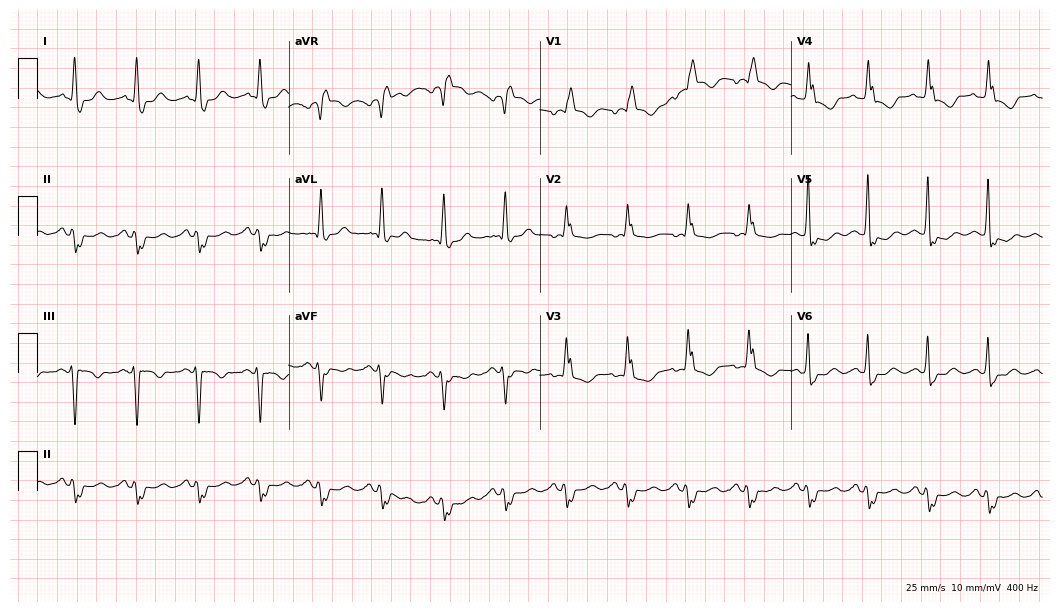
Resting 12-lead electrocardiogram (10.2-second recording at 400 Hz). Patient: a 70-year-old female. The tracing shows right bundle branch block (RBBB).